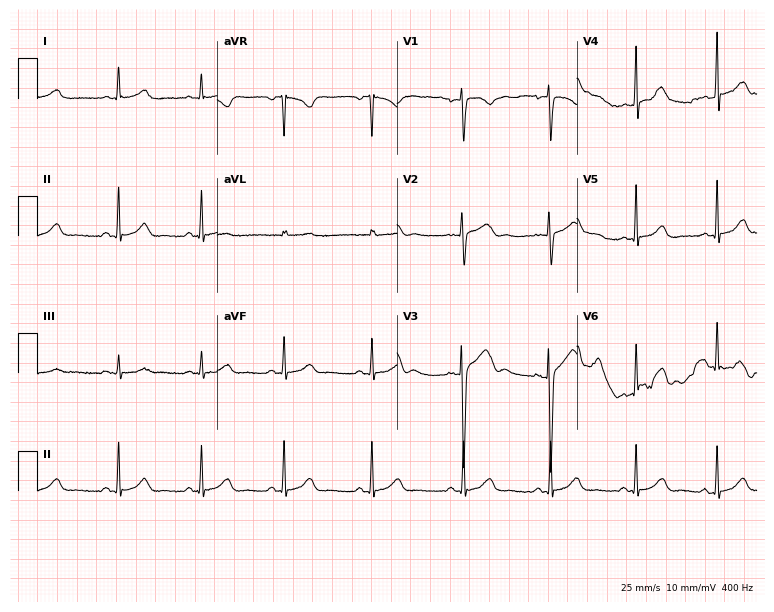
12-lead ECG from a 23-year-old woman (7.3-second recording at 400 Hz). No first-degree AV block, right bundle branch block, left bundle branch block, sinus bradycardia, atrial fibrillation or sinus tachycardia recorded for this tracing. Other findings, if any, are not listed.